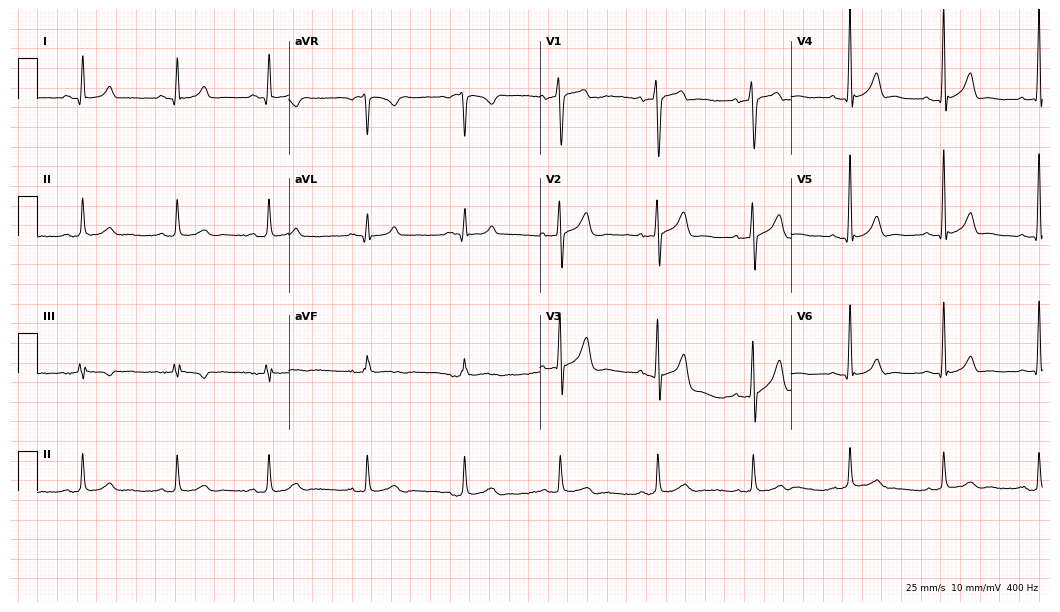
12-lead ECG (10.2-second recording at 400 Hz) from a male, 24 years old. Labelled as a normal ECG.